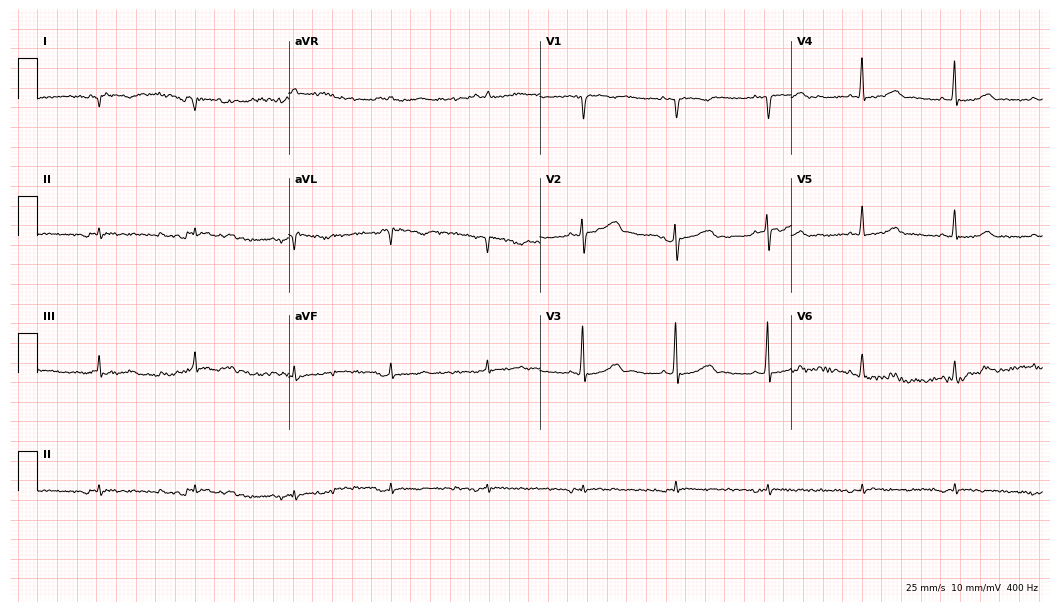
12-lead ECG from a female, 41 years old (10.2-second recording at 400 Hz). No first-degree AV block, right bundle branch block (RBBB), left bundle branch block (LBBB), sinus bradycardia, atrial fibrillation (AF) or sinus tachycardia recorded for this tracing.